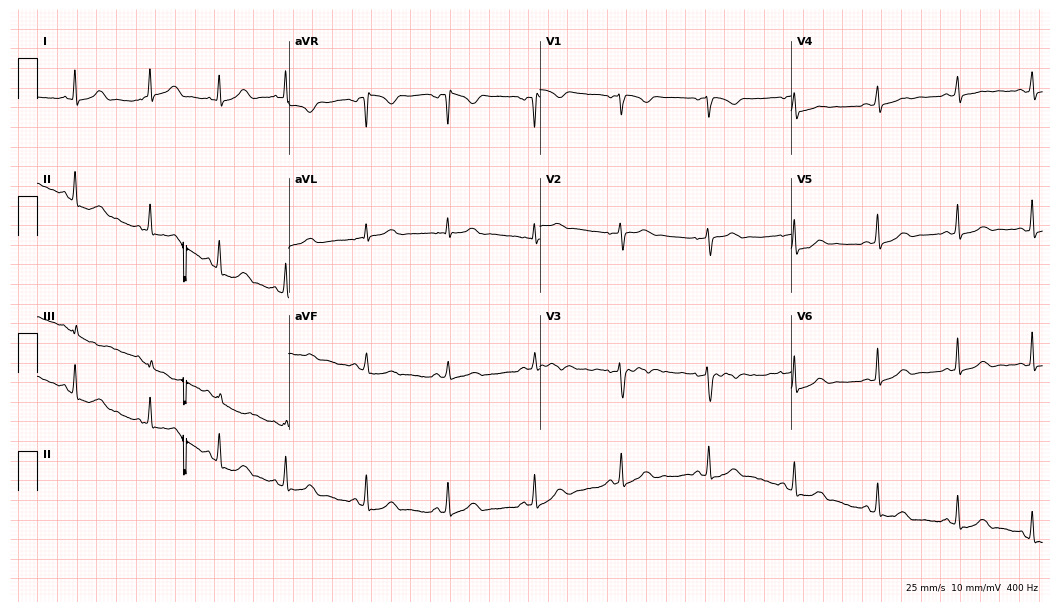
Electrocardiogram (10.2-second recording at 400 Hz), a female, 34 years old. Overall reading on record: normal ECG.